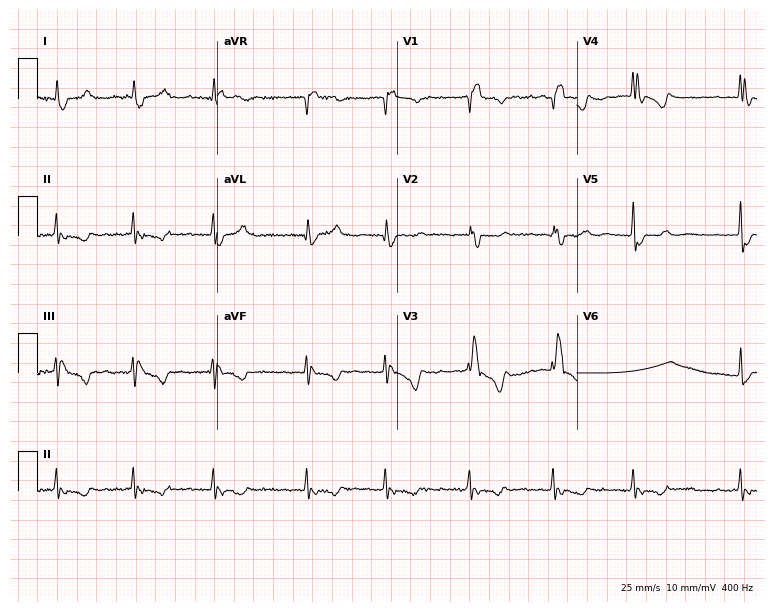
Standard 12-lead ECG recorded from a 76-year-old woman. The tracing shows right bundle branch block, atrial fibrillation.